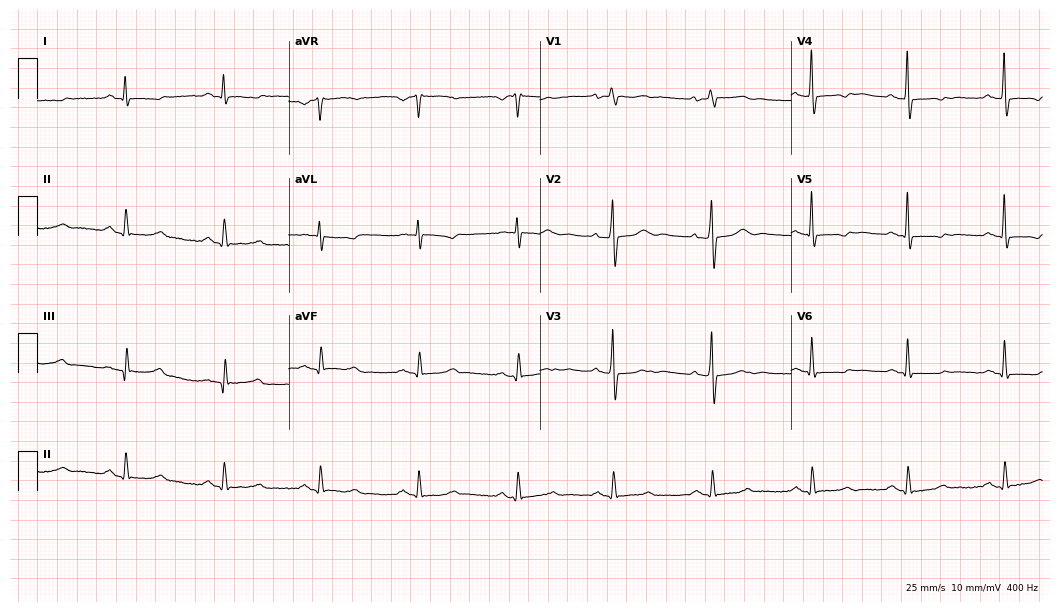
ECG (10.2-second recording at 400 Hz) — a 51-year-old female patient. Screened for six findings — first-degree AV block, right bundle branch block, left bundle branch block, sinus bradycardia, atrial fibrillation, sinus tachycardia — none is recorded. Findings outside these six are not listed.